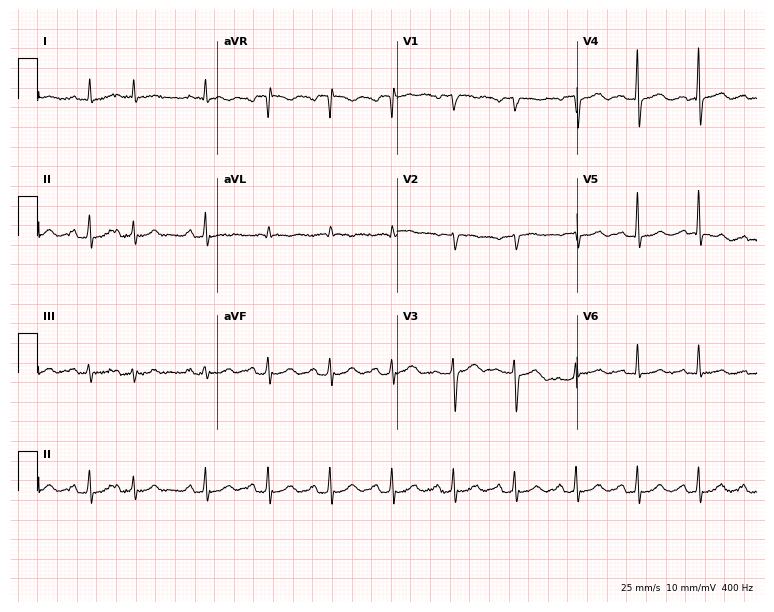
Electrocardiogram (7.3-second recording at 400 Hz), a male, 72 years old. Of the six screened findings (first-degree AV block, right bundle branch block (RBBB), left bundle branch block (LBBB), sinus bradycardia, atrial fibrillation (AF), sinus tachycardia), none is recorded.